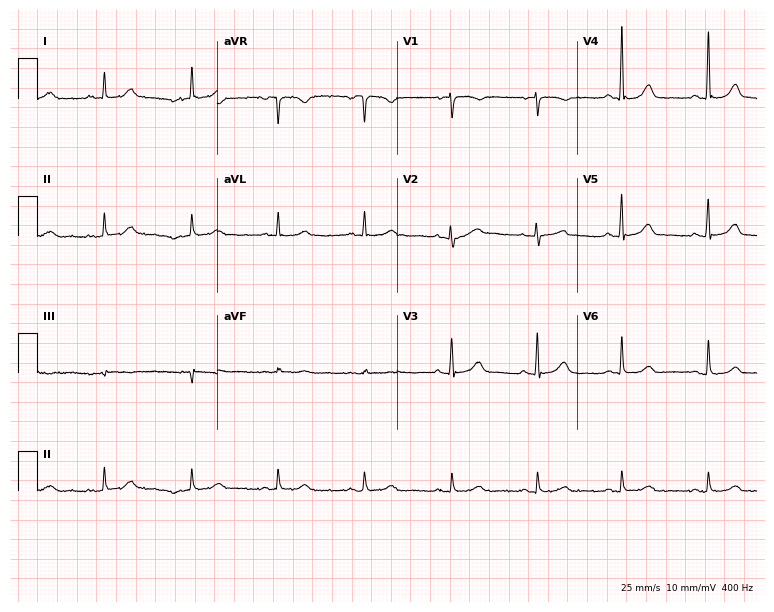
12-lead ECG (7.3-second recording at 400 Hz) from a 76-year-old female patient. Screened for six findings — first-degree AV block, right bundle branch block, left bundle branch block, sinus bradycardia, atrial fibrillation, sinus tachycardia — none is recorded. Other findings, if any, are not listed.